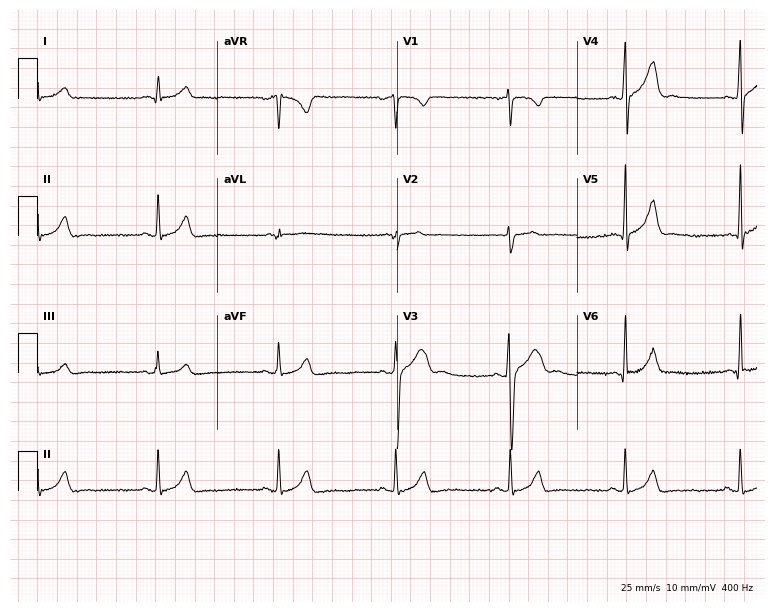
ECG — a 29-year-old male. Labelled as a normal ECG.